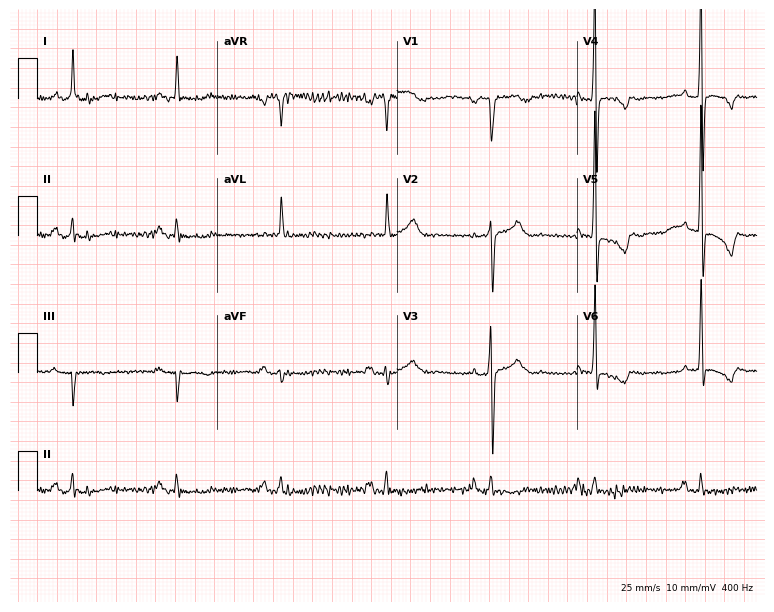
12-lead ECG from a 68-year-old male. No first-degree AV block, right bundle branch block, left bundle branch block, sinus bradycardia, atrial fibrillation or sinus tachycardia recorded for this tracing. Only these six findings were labelled.